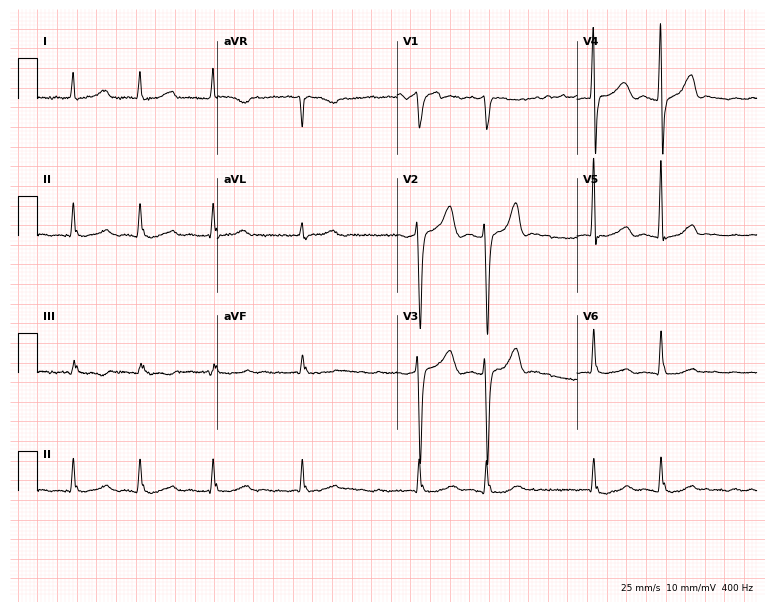
Standard 12-lead ECG recorded from a 77-year-old female. The tracing shows atrial fibrillation.